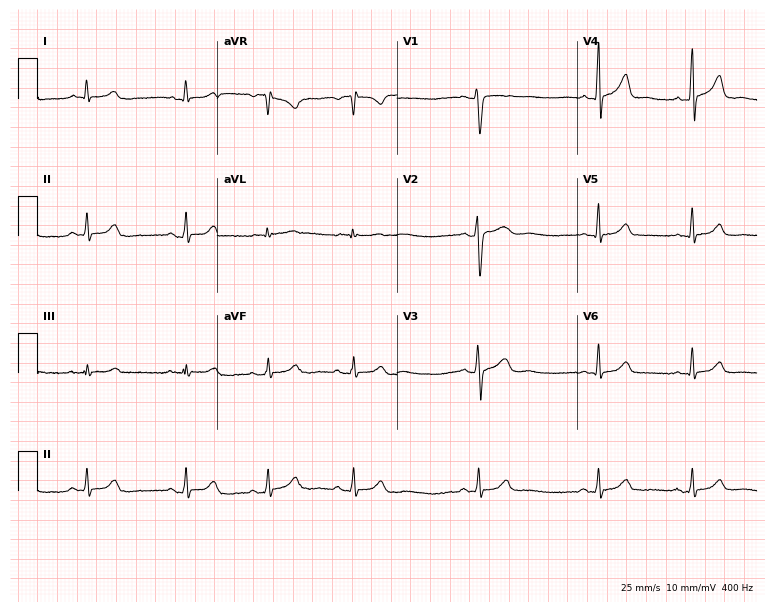
12-lead ECG (7.3-second recording at 400 Hz) from a female, 37 years old. Screened for six findings — first-degree AV block, right bundle branch block, left bundle branch block, sinus bradycardia, atrial fibrillation, sinus tachycardia — none is recorded.